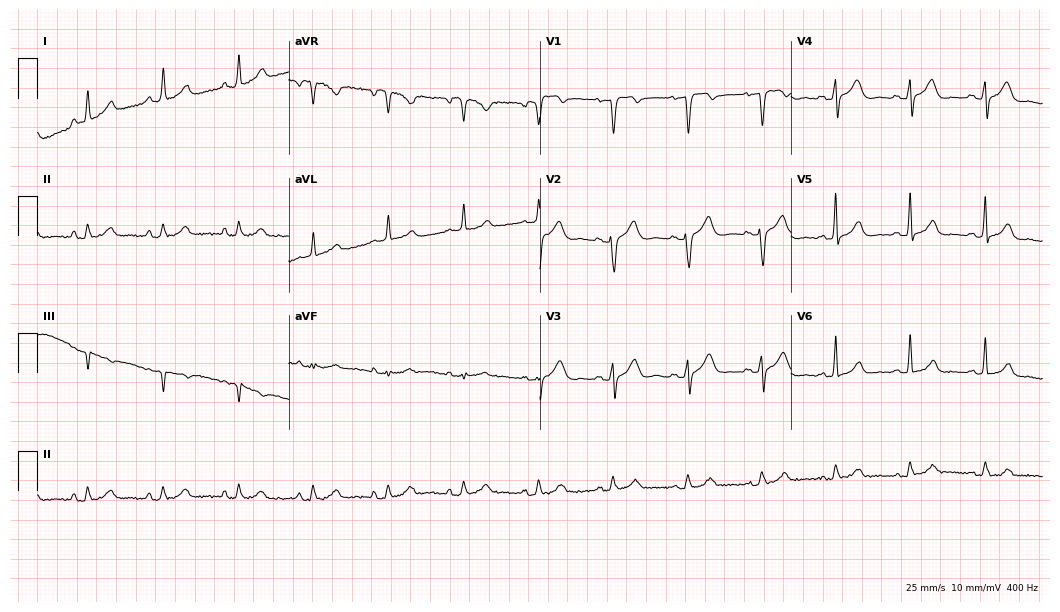
12-lead ECG from a female, 82 years old (10.2-second recording at 400 Hz). Recorded interpretation: within normal limits.